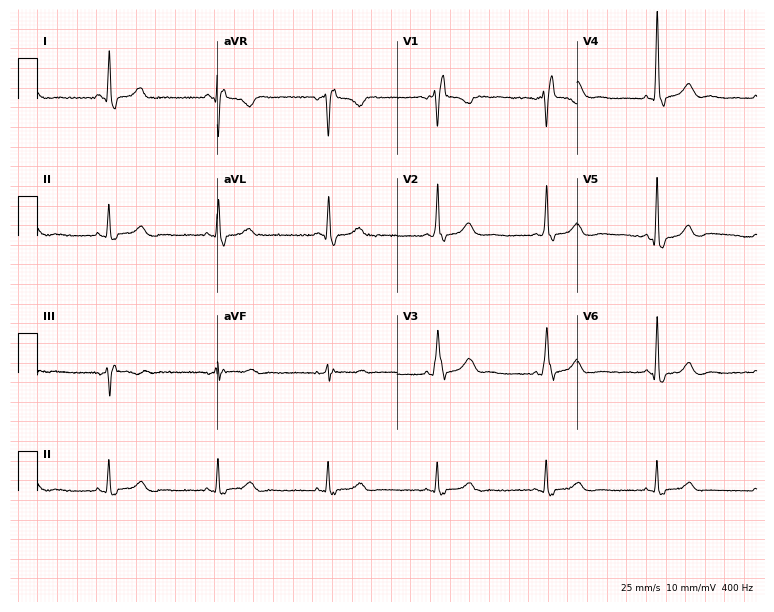
Resting 12-lead electrocardiogram. Patient: a 70-year-old female. The tracing shows right bundle branch block.